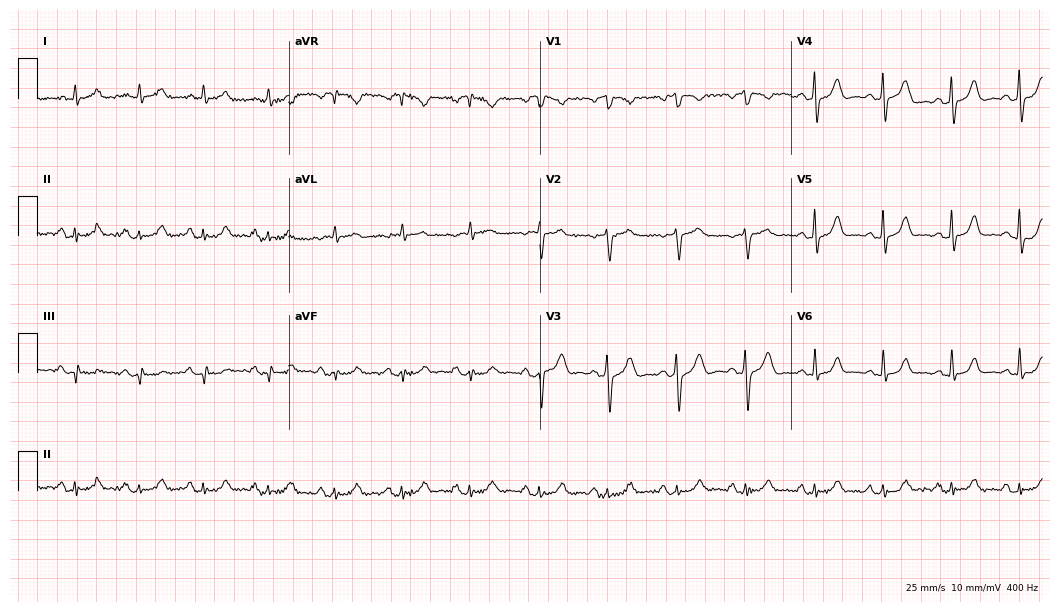
12-lead ECG from a 60-year-old male patient. Labelled as a normal ECG.